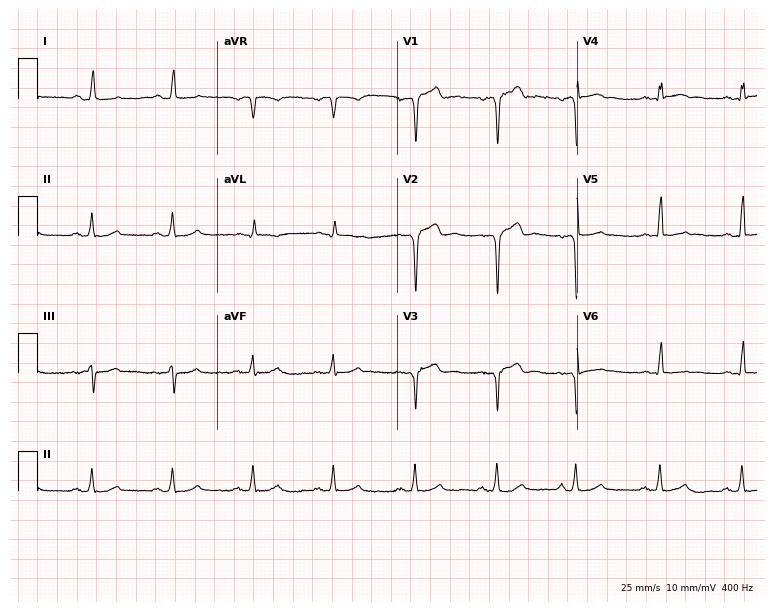
Electrocardiogram (7.3-second recording at 400 Hz), a male, 65 years old. Of the six screened findings (first-degree AV block, right bundle branch block (RBBB), left bundle branch block (LBBB), sinus bradycardia, atrial fibrillation (AF), sinus tachycardia), none is recorded. Other findings, if any, are not listed.